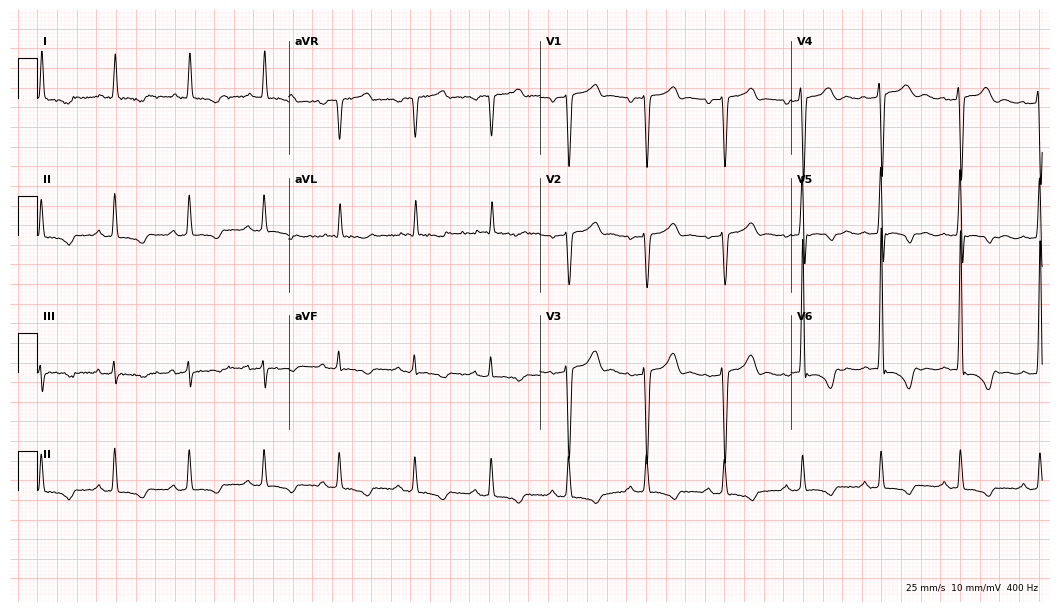
Resting 12-lead electrocardiogram. Patient: a 76-year-old male. None of these six findings is recorded: first-degree AV block, right bundle branch block, left bundle branch block, sinus bradycardia, atrial fibrillation, sinus tachycardia.